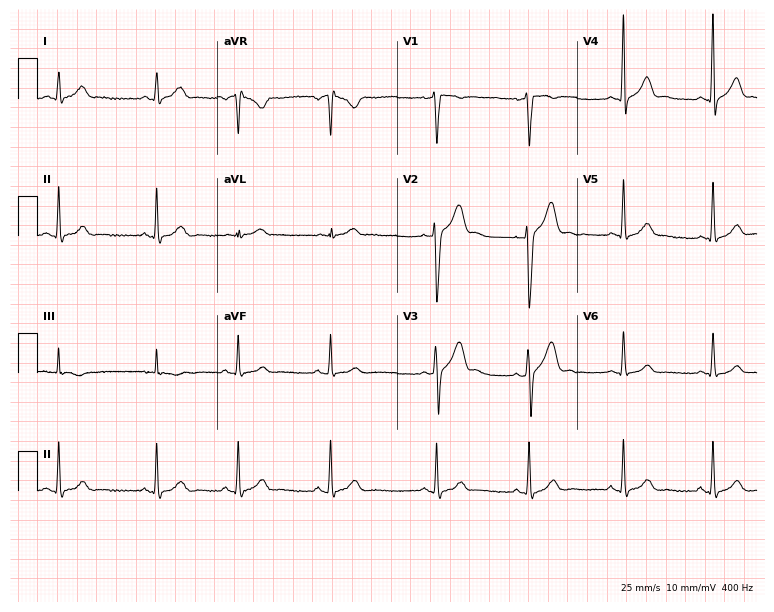
Resting 12-lead electrocardiogram (7.3-second recording at 400 Hz). Patient: a male, 31 years old. Read as a normal ECG.